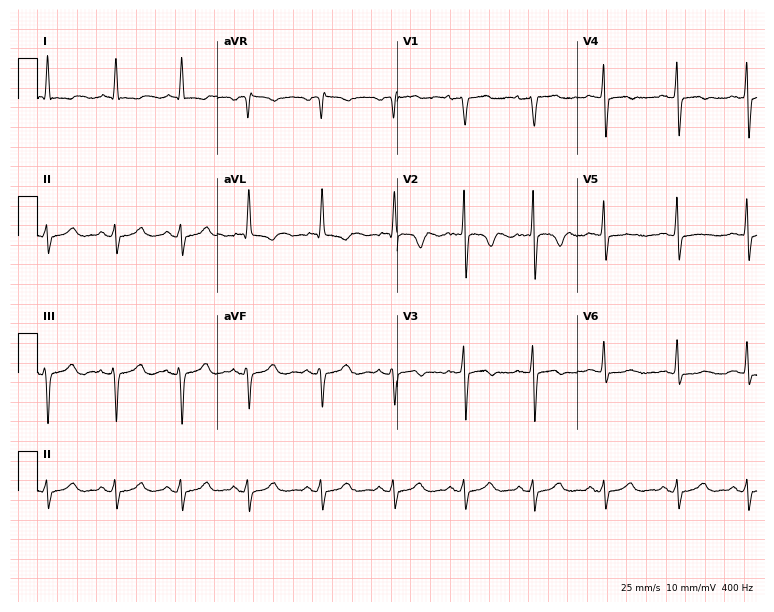
Electrocardiogram, a man, 62 years old. Of the six screened findings (first-degree AV block, right bundle branch block, left bundle branch block, sinus bradycardia, atrial fibrillation, sinus tachycardia), none is recorded. Only these six findings were labelled.